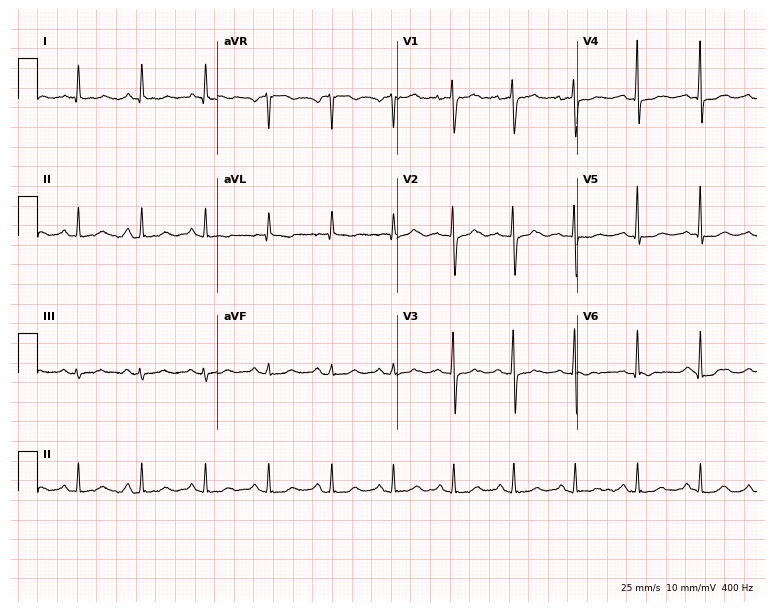
Resting 12-lead electrocardiogram (7.3-second recording at 400 Hz). Patient: a male, 52 years old. Read as a normal ECG.